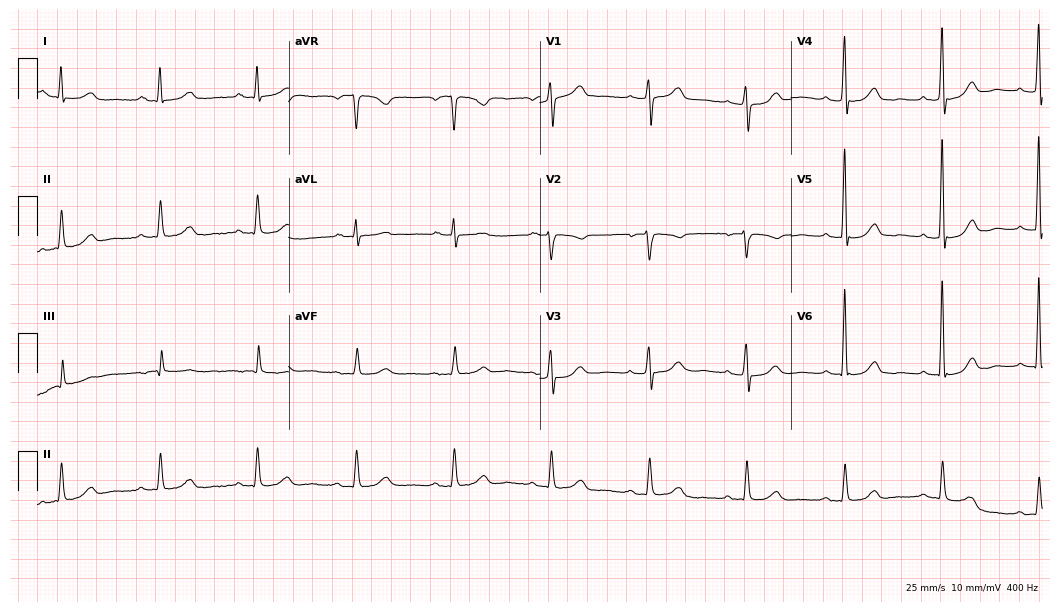
ECG (10.2-second recording at 400 Hz) — a 77-year-old female patient. Labelled as a normal ECG.